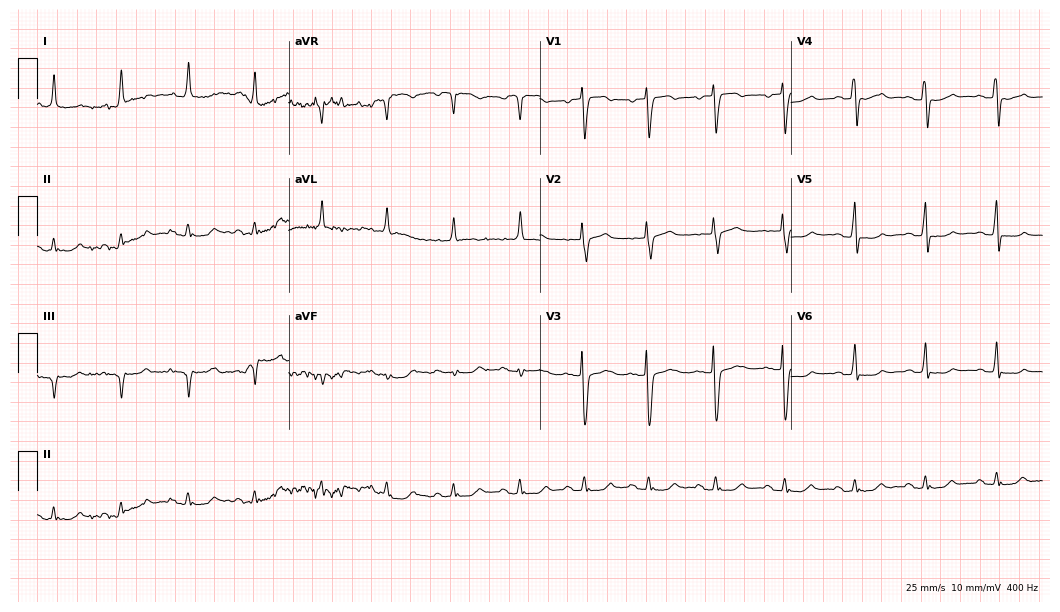
12-lead ECG from a 74-year-old female patient (10.2-second recording at 400 Hz). No first-degree AV block, right bundle branch block, left bundle branch block, sinus bradycardia, atrial fibrillation or sinus tachycardia recorded for this tracing.